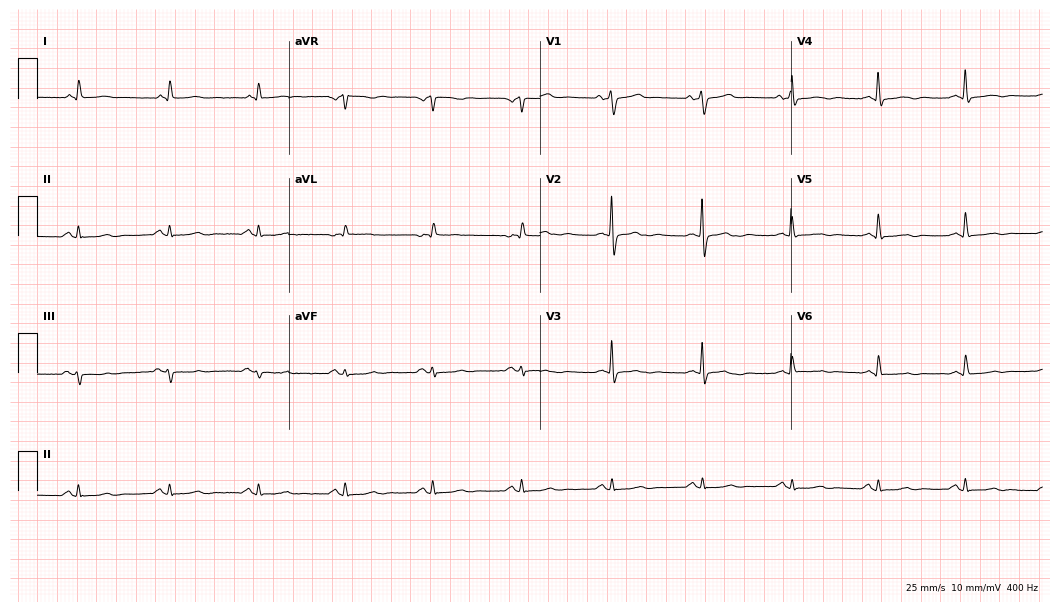
Electrocardiogram (10.2-second recording at 400 Hz), a man, 58 years old. Of the six screened findings (first-degree AV block, right bundle branch block, left bundle branch block, sinus bradycardia, atrial fibrillation, sinus tachycardia), none is recorded. Only these six findings were labelled.